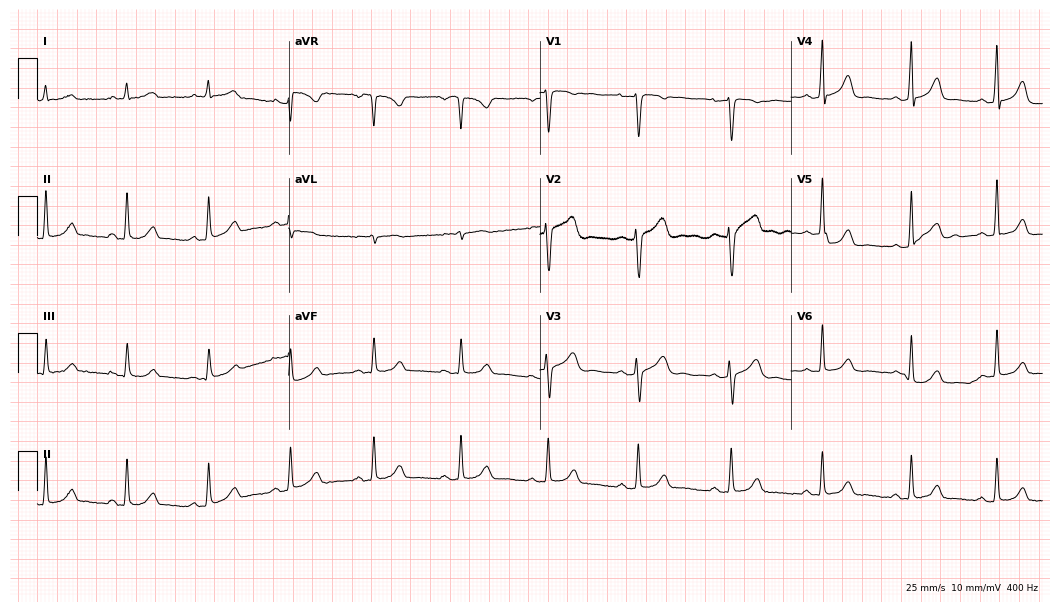
Electrocardiogram, a woman, 31 years old. Overall reading on record: normal ECG.